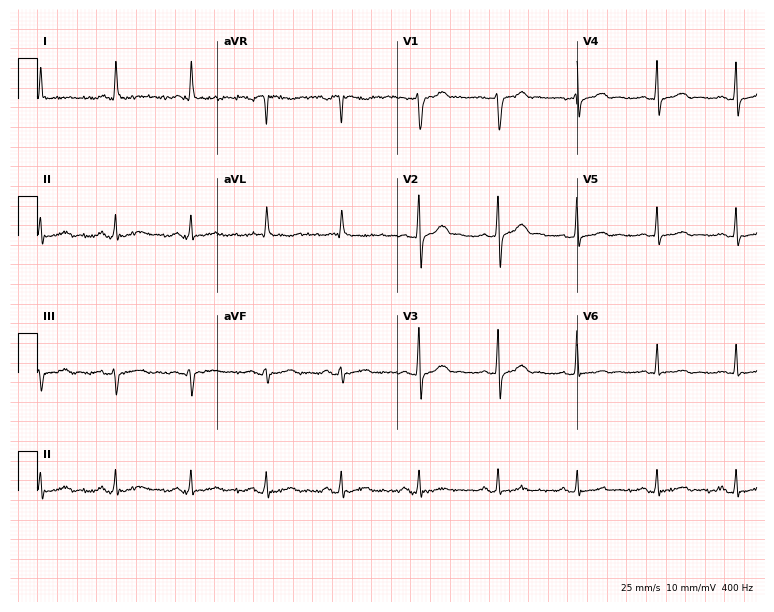
12-lead ECG (7.3-second recording at 400 Hz) from a 67-year-old man. Labelled as a normal ECG.